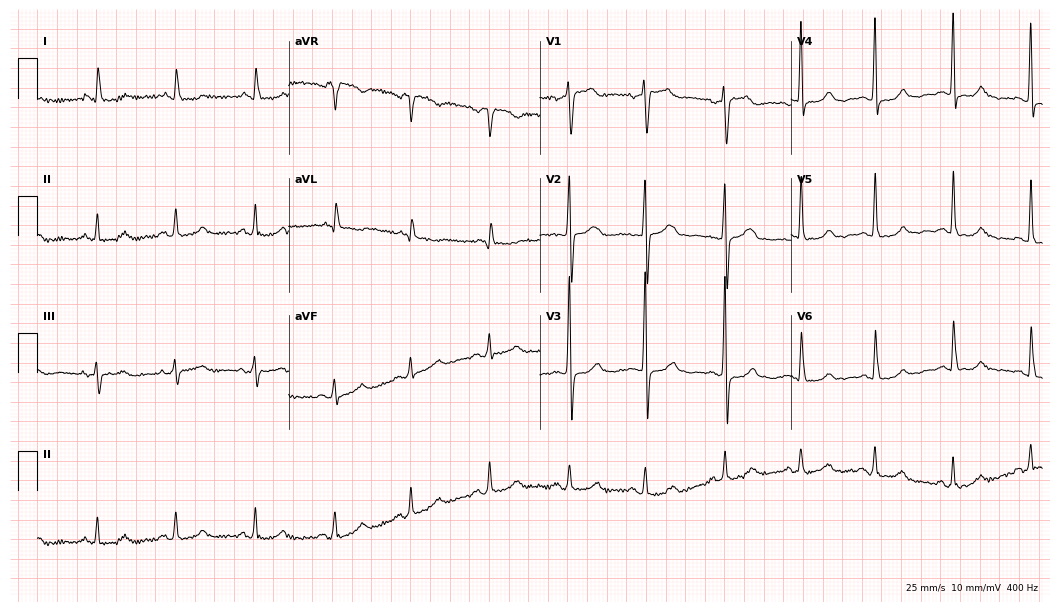
Electrocardiogram (10.2-second recording at 400 Hz), a 57-year-old female. Overall reading on record: normal ECG.